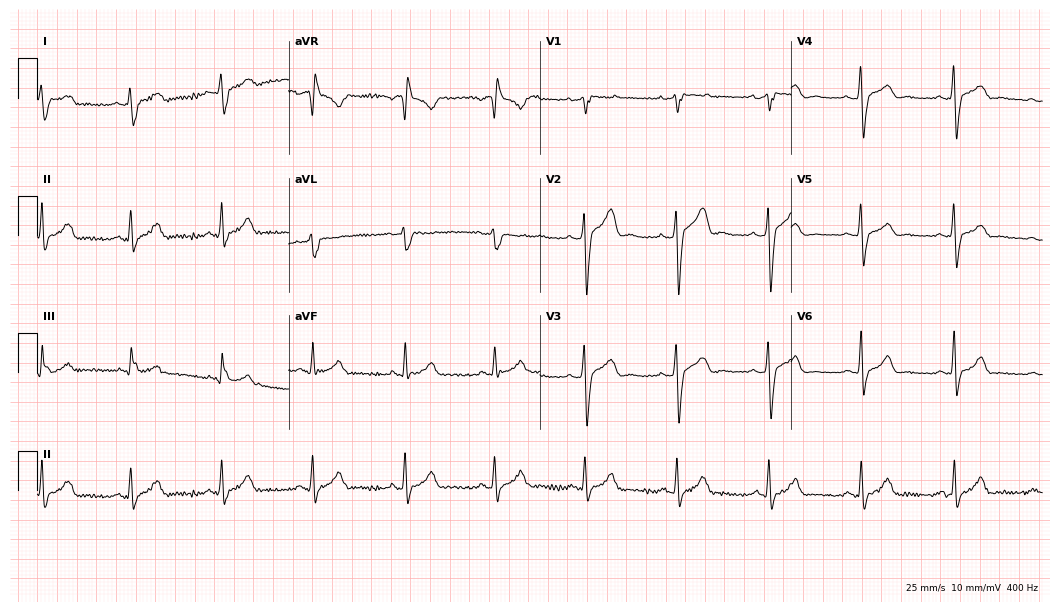
Resting 12-lead electrocardiogram (10.2-second recording at 400 Hz). Patient: a 41-year-old male. The tracing shows right bundle branch block (RBBB).